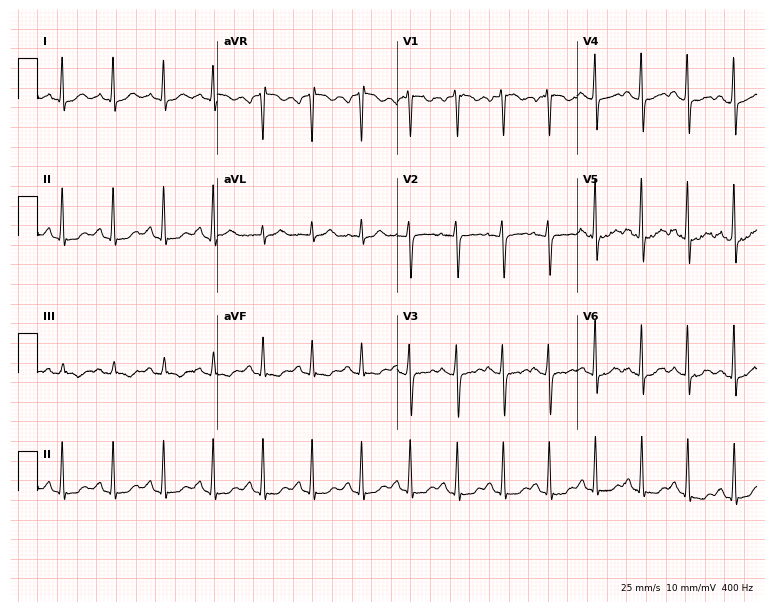
12-lead ECG from a woman, 20 years old. Findings include sinus tachycardia (a sinus rate of 100 beats per minute or more).